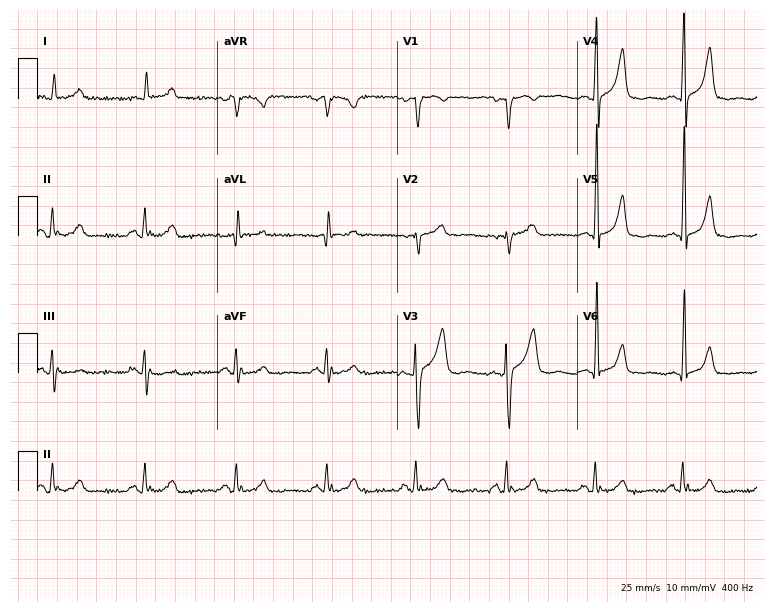
ECG — a 66-year-old male. Screened for six findings — first-degree AV block, right bundle branch block (RBBB), left bundle branch block (LBBB), sinus bradycardia, atrial fibrillation (AF), sinus tachycardia — none is recorded. Findings outside these six are not listed.